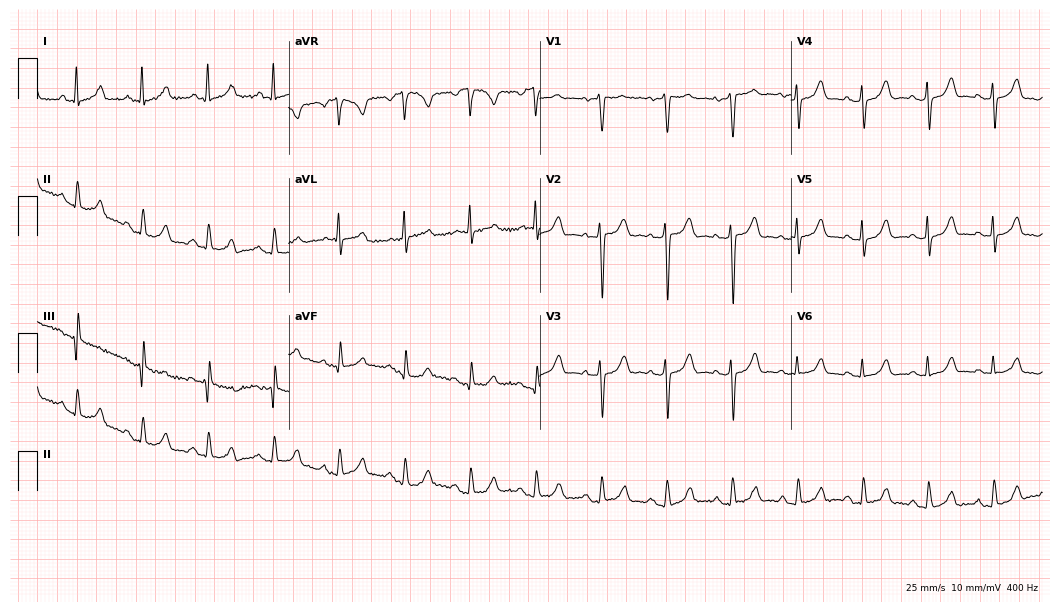
12-lead ECG from a 76-year-old female. Labelled as a normal ECG.